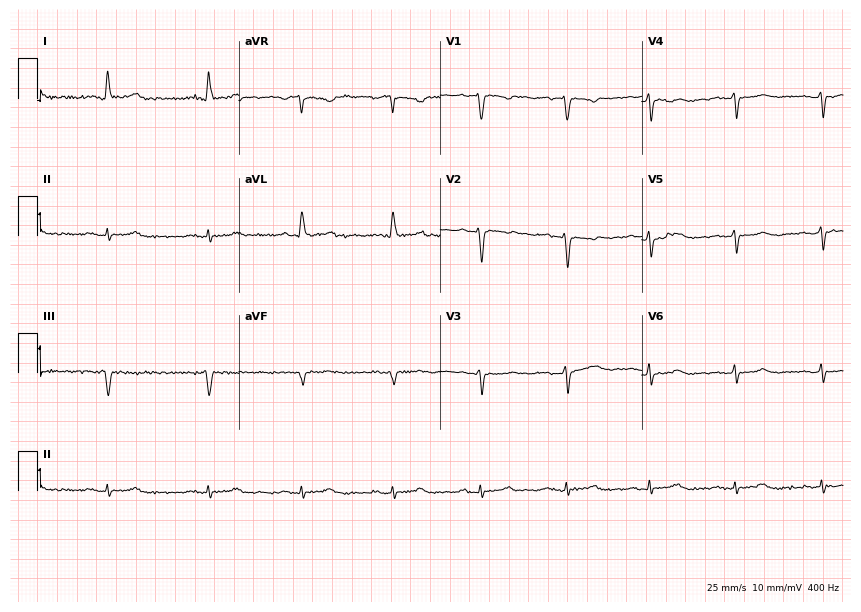
12-lead ECG from a woman, 59 years old (8.2-second recording at 400 Hz). No first-degree AV block, right bundle branch block, left bundle branch block, sinus bradycardia, atrial fibrillation or sinus tachycardia recorded for this tracing.